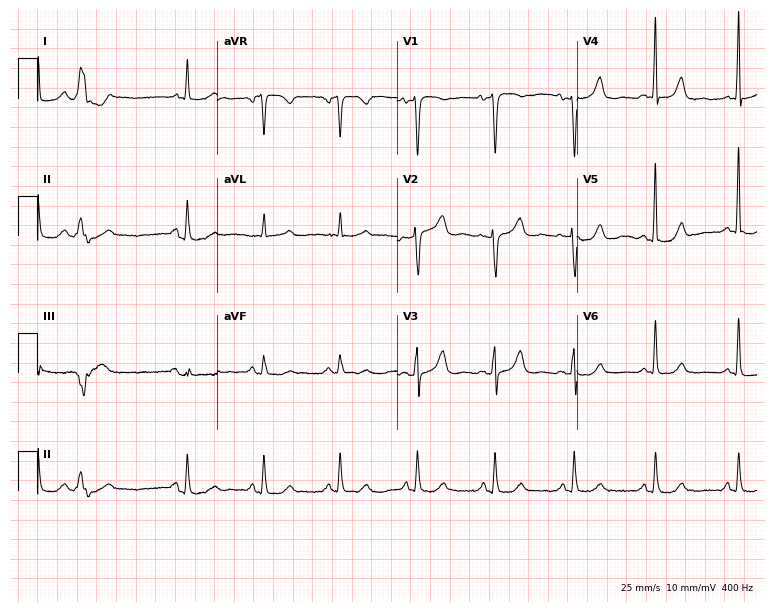
ECG — a female patient, 80 years old. Screened for six findings — first-degree AV block, right bundle branch block, left bundle branch block, sinus bradycardia, atrial fibrillation, sinus tachycardia — none is recorded. Only these six findings were labelled.